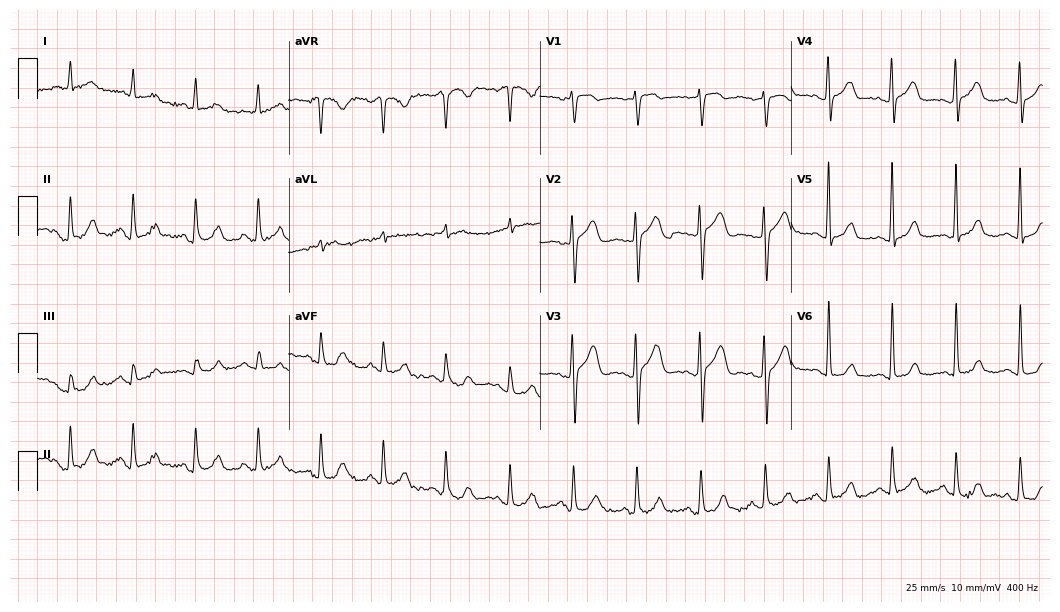
ECG (10.2-second recording at 400 Hz) — a woman, 58 years old. Labelled as a normal ECG.